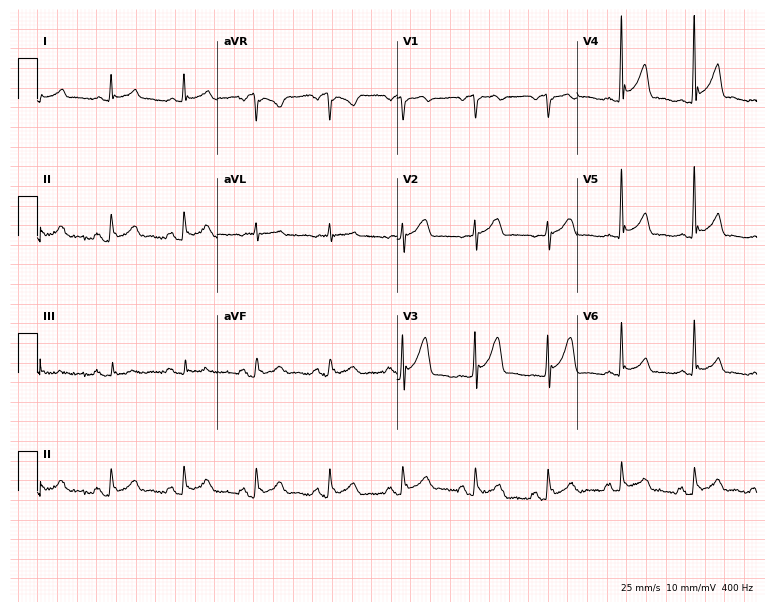
Electrocardiogram, a 69-year-old male. Of the six screened findings (first-degree AV block, right bundle branch block, left bundle branch block, sinus bradycardia, atrial fibrillation, sinus tachycardia), none is recorded.